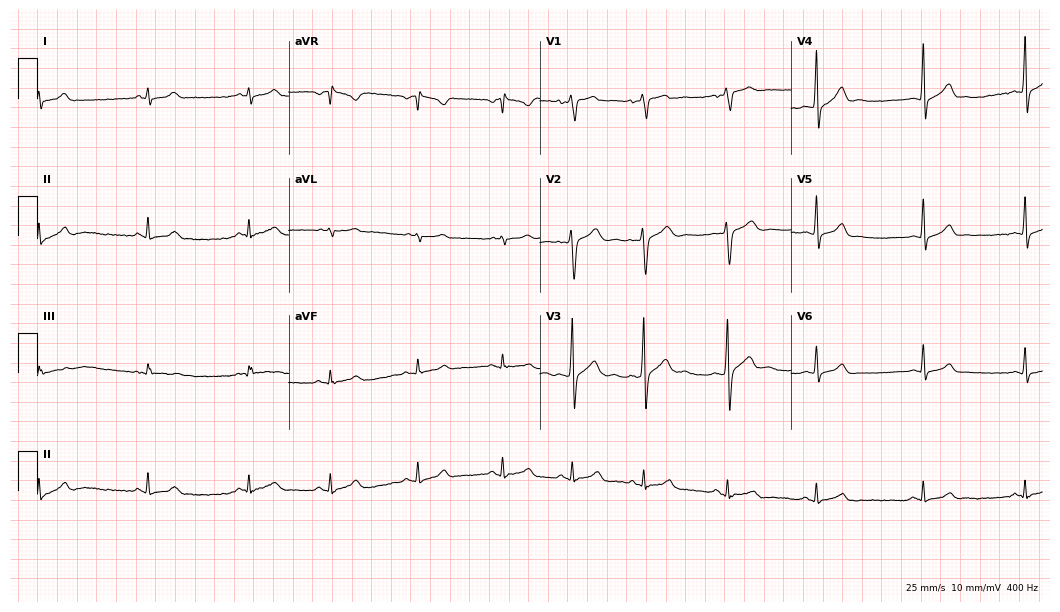
12-lead ECG (10.2-second recording at 400 Hz) from a 20-year-old male patient. Labelled as a normal ECG.